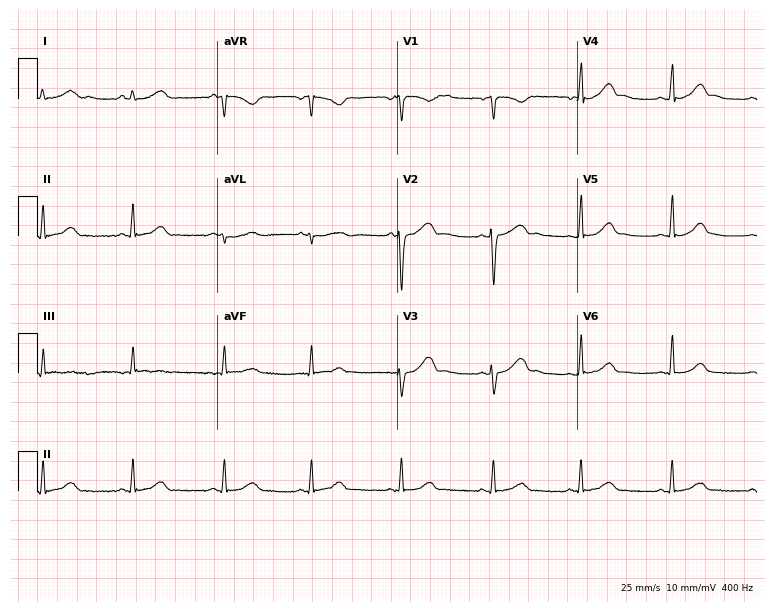
Resting 12-lead electrocardiogram. Patient: a 36-year-old female. None of these six findings is recorded: first-degree AV block, right bundle branch block (RBBB), left bundle branch block (LBBB), sinus bradycardia, atrial fibrillation (AF), sinus tachycardia.